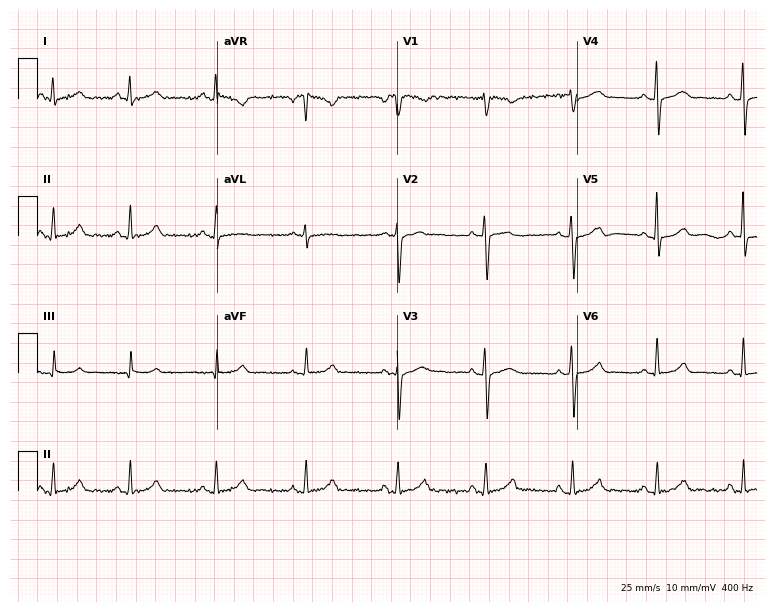
Standard 12-lead ECG recorded from a female patient, 46 years old (7.3-second recording at 400 Hz). None of these six findings is recorded: first-degree AV block, right bundle branch block, left bundle branch block, sinus bradycardia, atrial fibrillation, sinus tachycardia. Other findings, if any, are not listed.